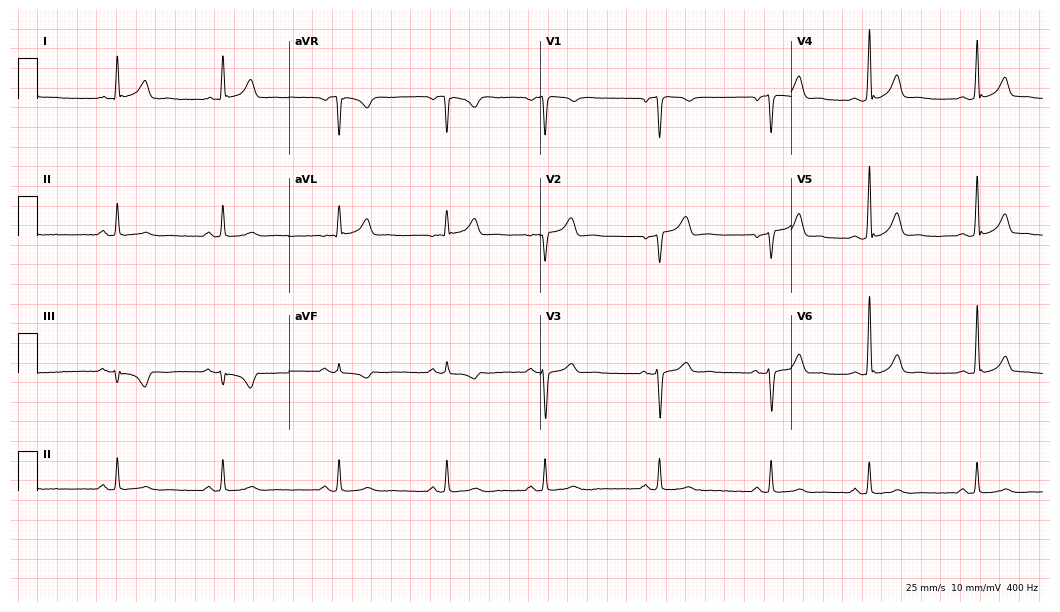
Resting 12-lead electrocardiogram (10.2-second recording at 400 Hz). Patient: a male, 32 years old. None of these six findings is recorded: first-degree AV block, right bundle branch block, left bundle branch block, sinus bradycardia, atrial fibrillation, sinus tachycardia.